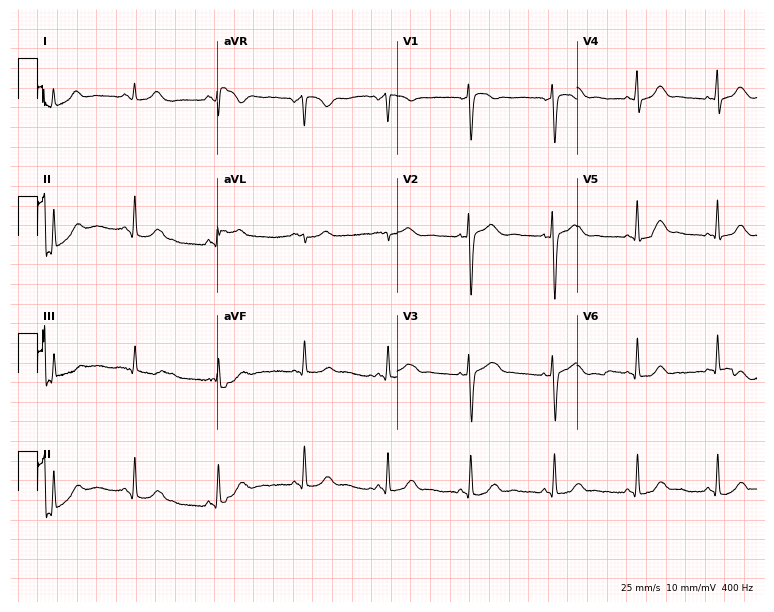
ECG — a woman, 34 years old. Labelled as a normal ECG.